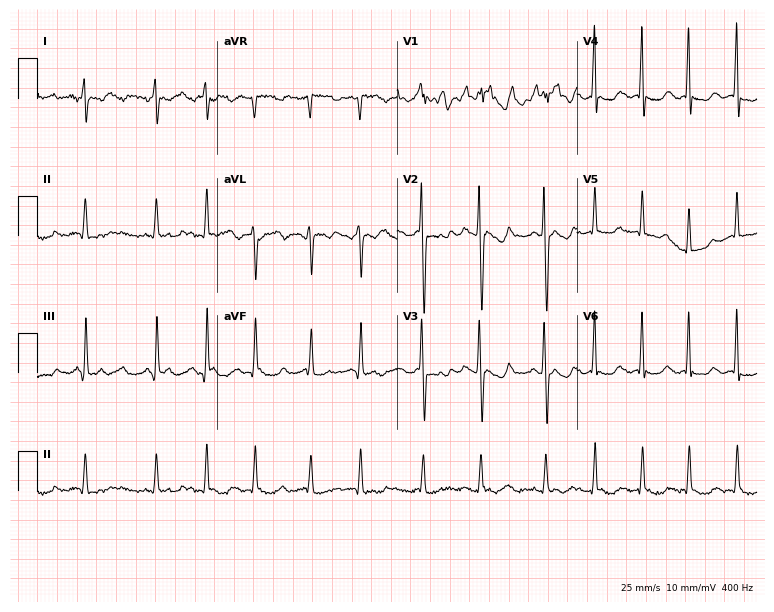
12-lead ECG from a 39-year-old female (7.3-second recording at 400 Hz). No first-degree AV block, right bundle branch block (RBBB), left bundle branch block (LBBB), sinus bradycardia, atrial fibrillation (AF) or sinus tachycardia recorded for this tracing.